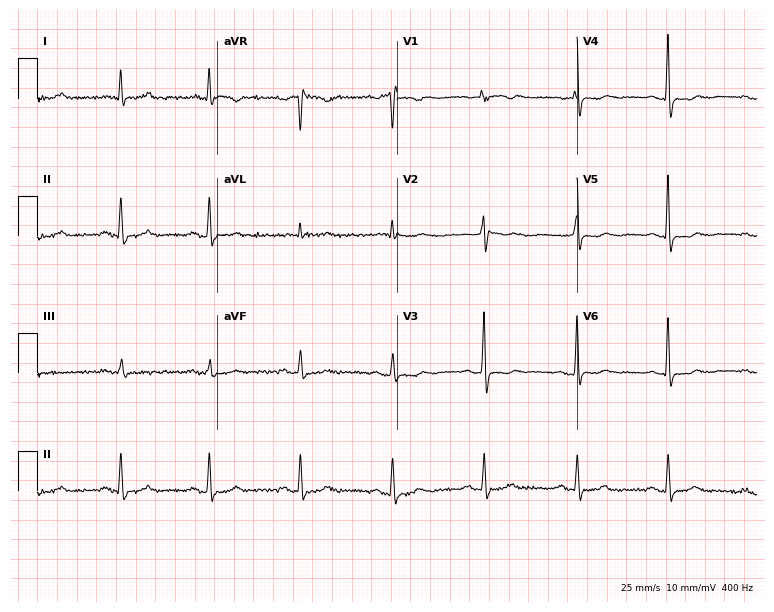
Resting 12-lead electrocardiogram. Patient: a 73-year-old female. None of these six findings is recorded: first-degree AV block, right bundle branch block (RBBB), left bundle branch block (LBBB), sinus bradycardia, atrial fibrillation (AF), sinus tachycardia. Other findings, if any, are not listed.